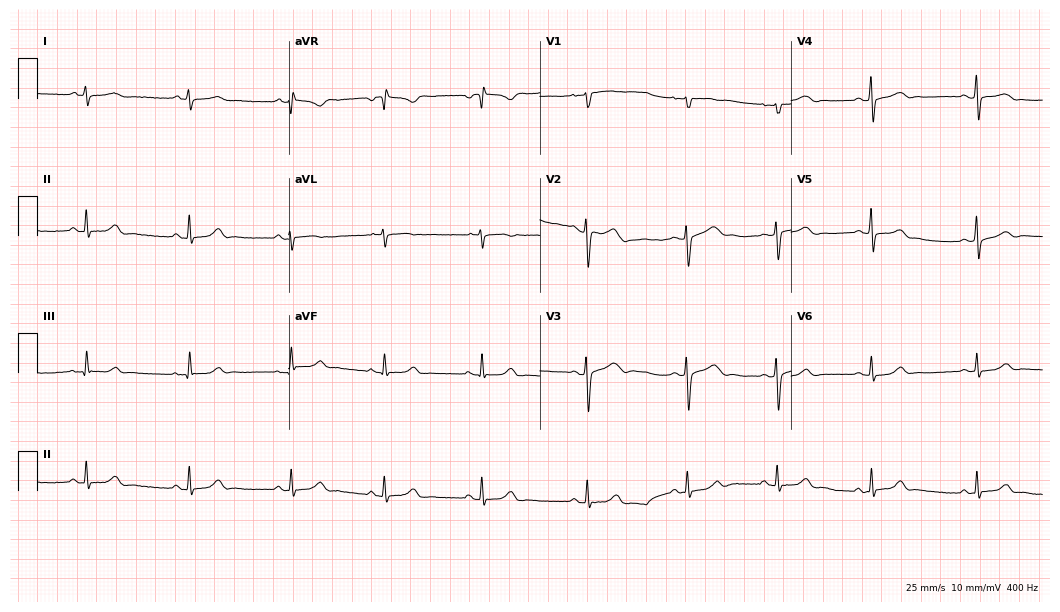
Resting 12-lead electrocardiogram (10.2-second recording at 400 Hz). Patient: a 17-year-old woman. None of these six findings is recorded: first-degree AV block, right bundle branch block, left bundle branch block, sinus bradycardia, atrial fibrillation, sinus tachycardia.